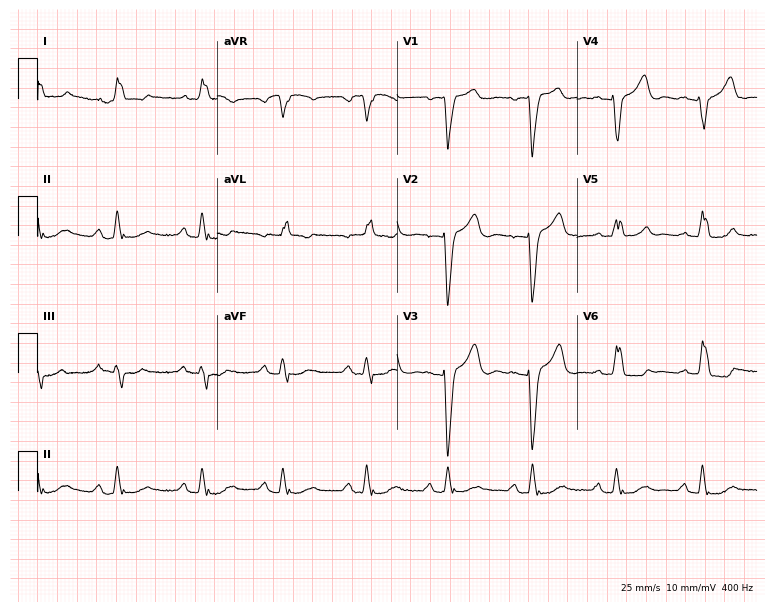
12-lead ECG (7.3-second recording at 400 Hz) from a female, 80 years old. Findings include left bundle branch block.